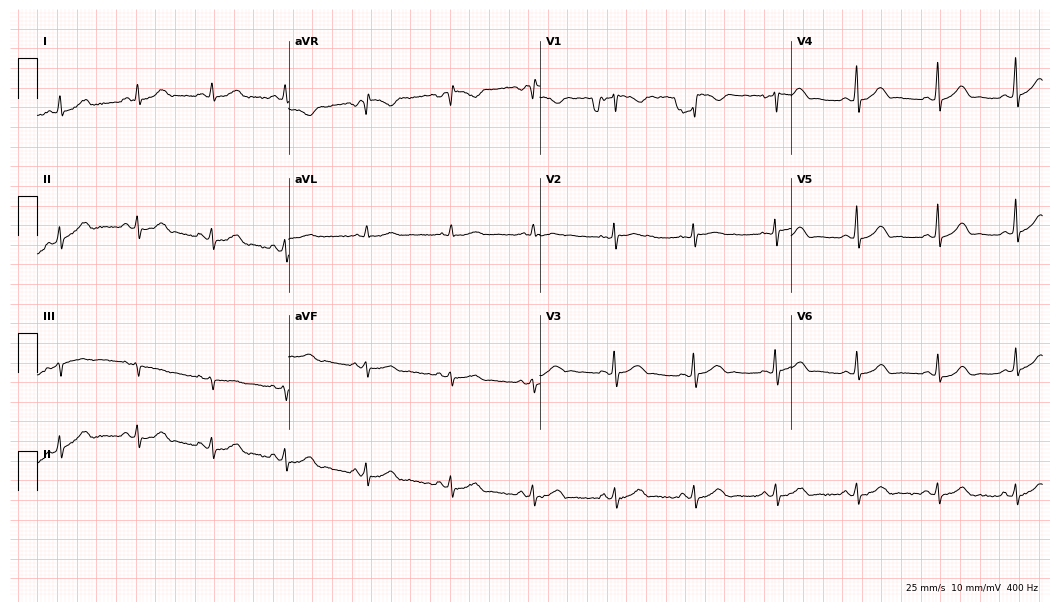
Standard 12-lead ECG recorded from a 26-year-old woman. Read as a normal ECG.